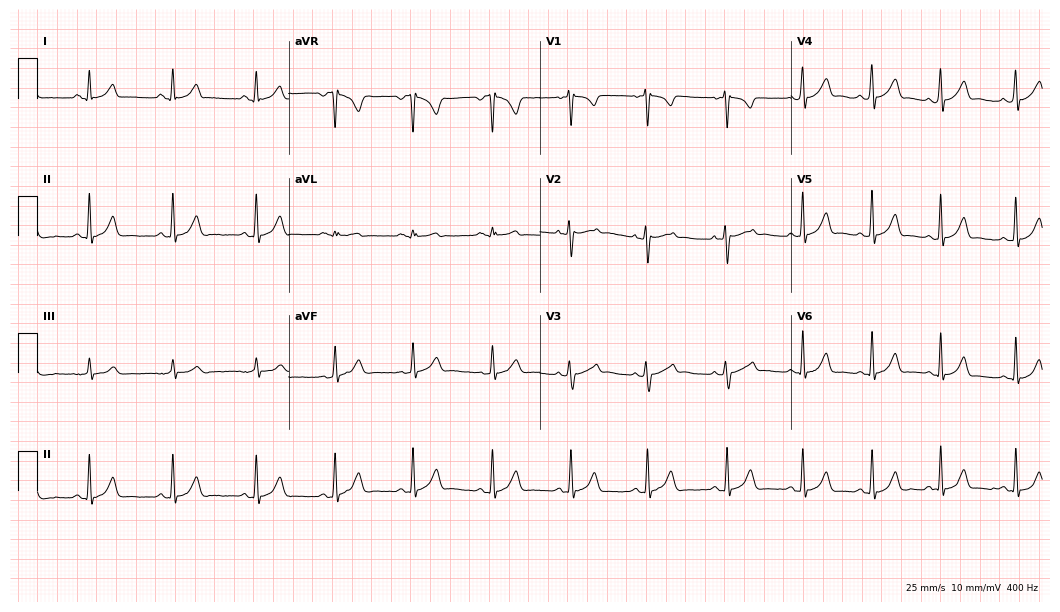
ECG — a 29-year-old female. Labelled as a normal ECG.